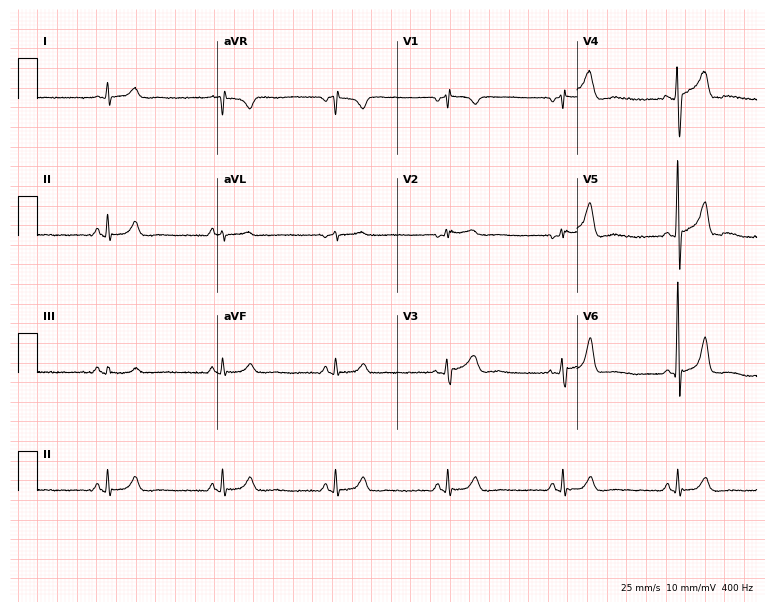
Standard 12-lead ECG recorded from a male, 40 years old (7.3-second recording at 400 Hz). None of these six findings is recorded: first-degree AV block, right bundle branch block, left bundle branch block, sinus bradycardia, atrial fibrillation, sinus tachycardia. Findings outside these six are not listed.